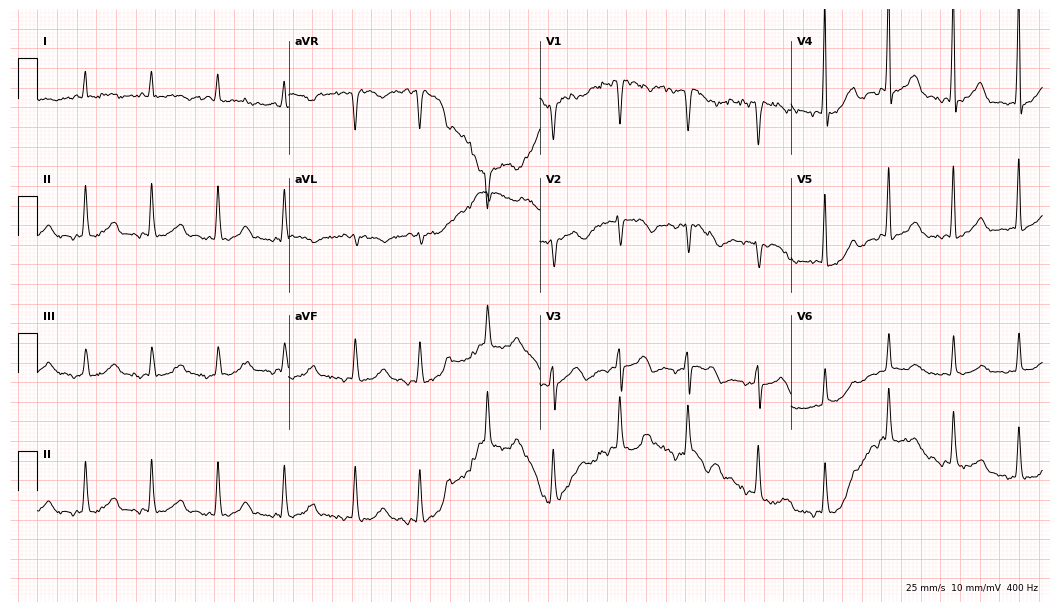
ECG (10.2-second recording at 400 Hz) — a woman, 57 years old. Screened for six findings — first-degree AV block, right bundle branch block (RBBB), left bundle branch block (LBBB), sinus bradycardia, atrial fibrillation (AF), sinus tachycardia — none is recorded. Other findings, if any, are not listed.